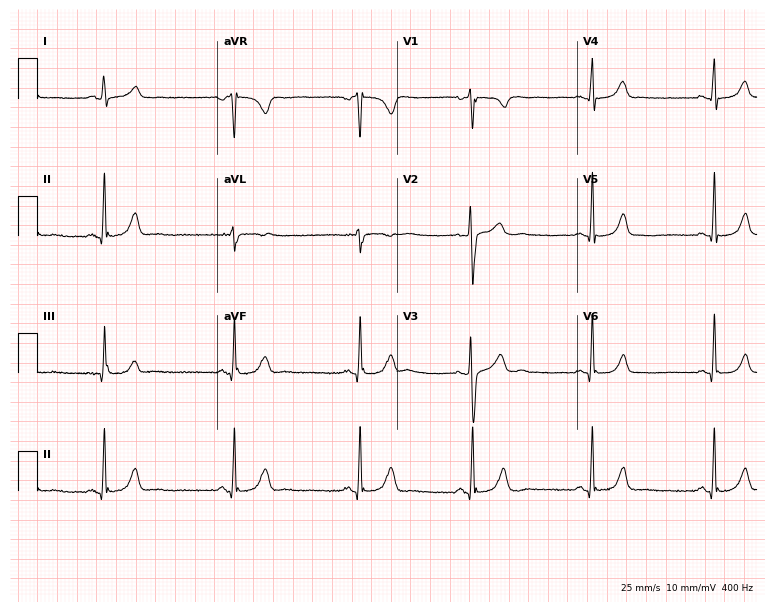
12-lead ECG from a woman, 27 years old. Shows sinus bradycardia (a sinus rate of 50 beats per minute or less).